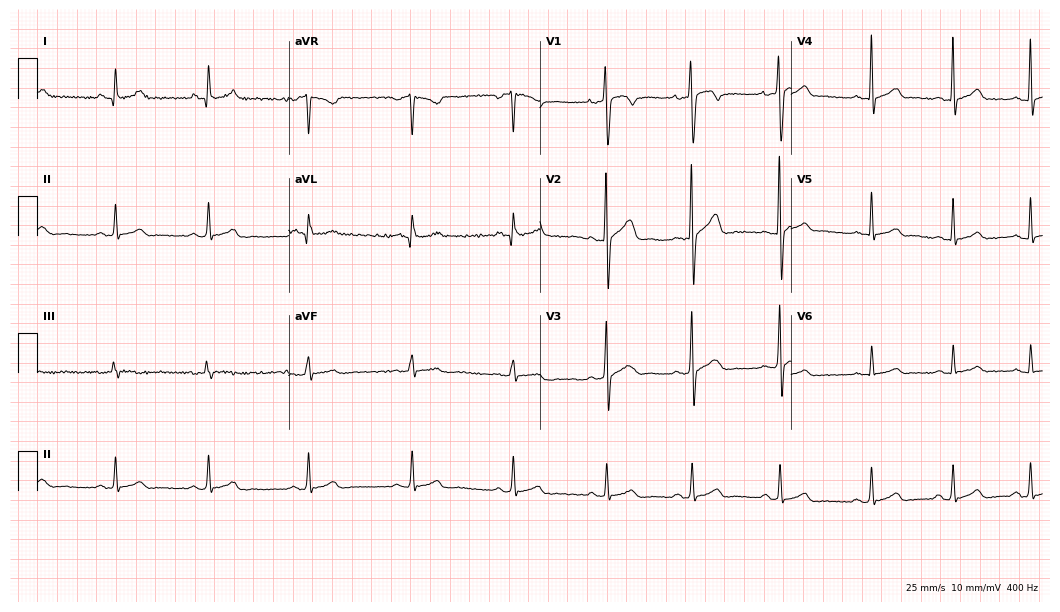
ECG — a 33-year-old male. Labelled as a normal ECG.